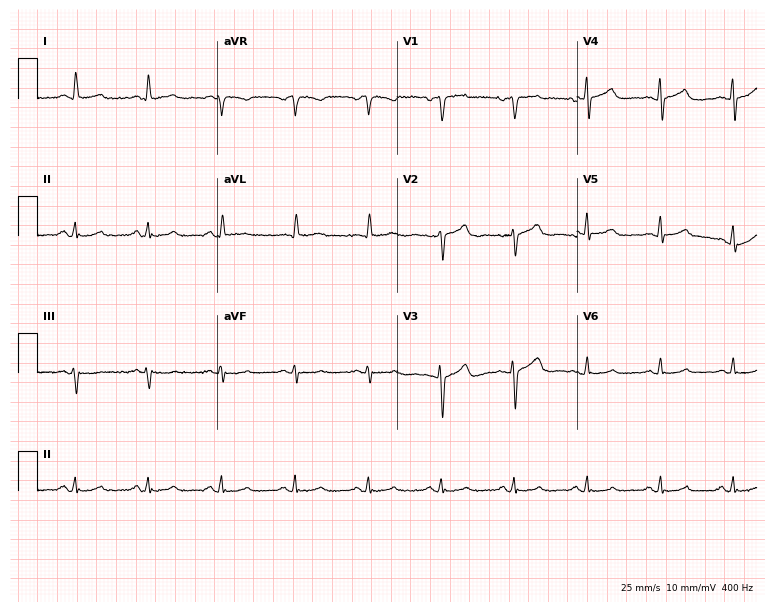
Resting 12-lead electrocardiogram. Patient: a woman, 51 years old. Read as a normal ECG.